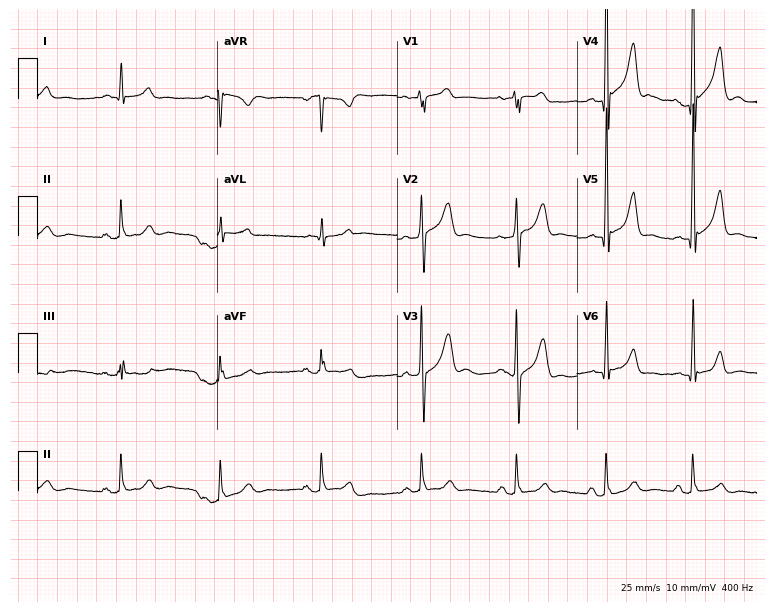
Electrocardiogram (7.3-second recording at 400 Hz), a 76-year-old male patient. Overall reading on record: normal ECG.